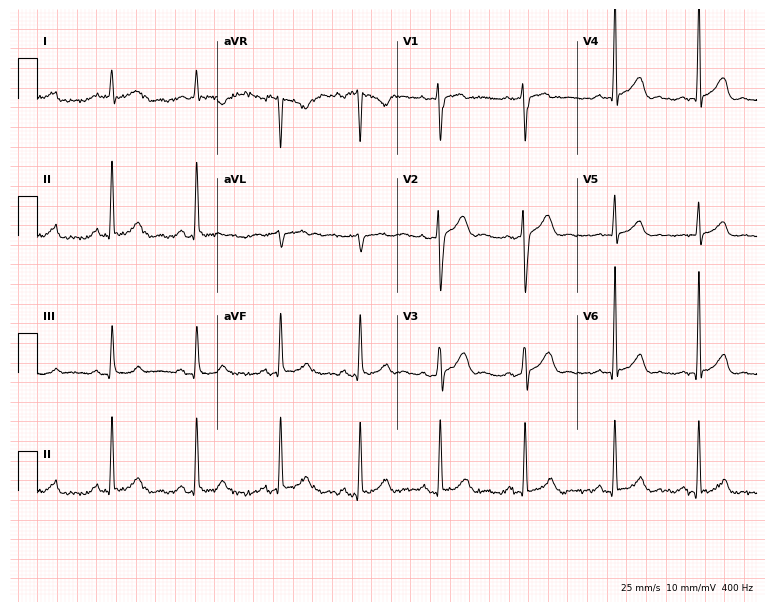
Electrocardiogram (7.3-second recording at 400 Hz), a 35-year-old man. Overall reading on record: normal ECG.